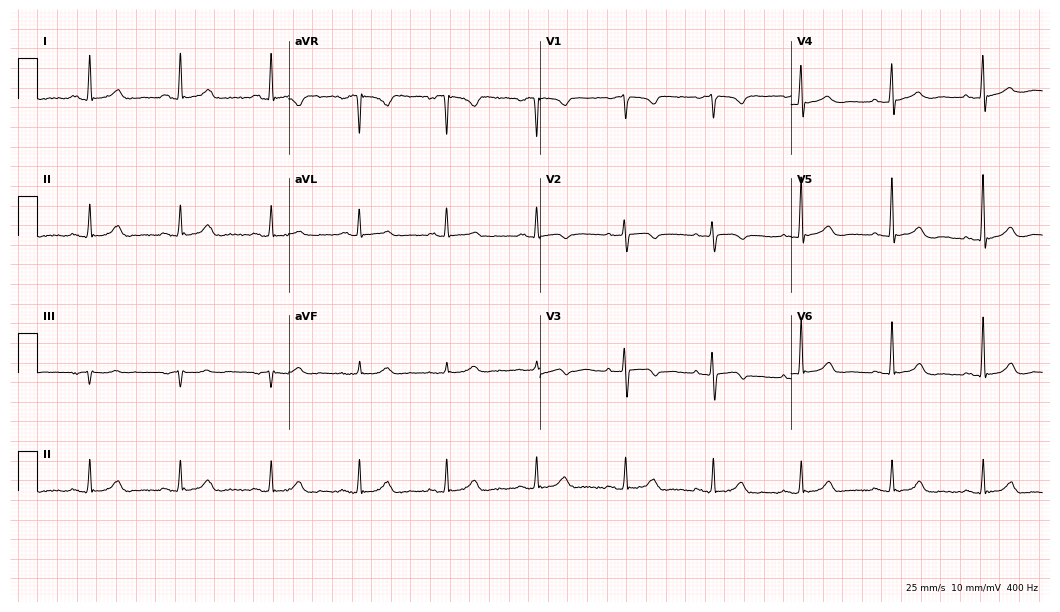
Standard 12-lead ECG recorded from a 70-year-old female (10.2-second recording at 400 Hz). None of these six findings is recorded: first-degree AV block, right bundle branch block, left bundle branch block, sinus bradycardia, atrial fibrillation, sinus tachycardia. Only these six findings were labelled.